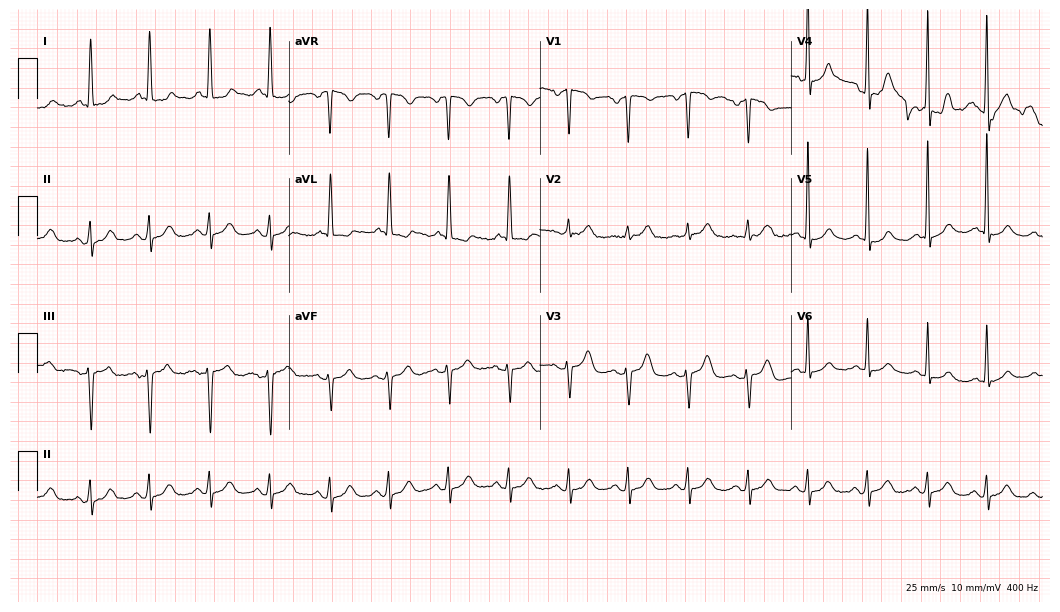
Electrocardiogram (10.2-second recording at 400 Hz), an 85-year-old woman. Overall reading on record: normal ECG.